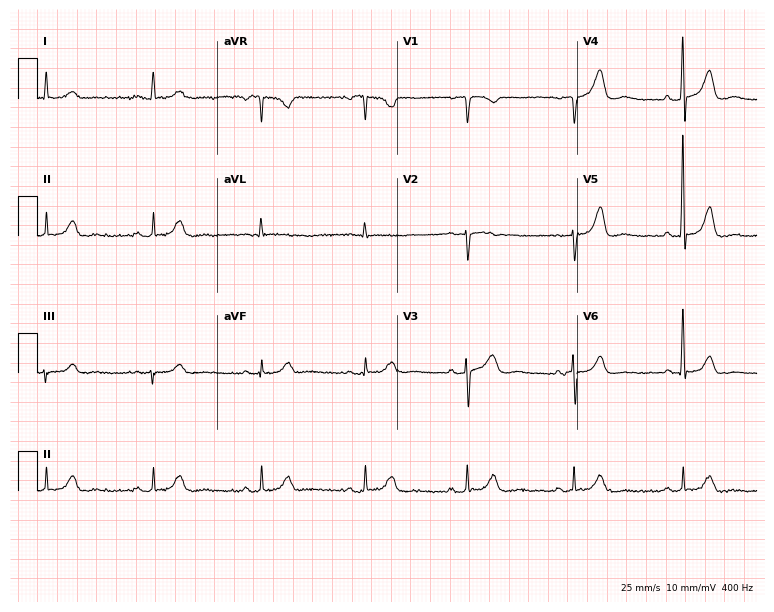
Resting 12-lead electrocardiogram. Patient: a 70-year-old male. Read as a normal ECG.